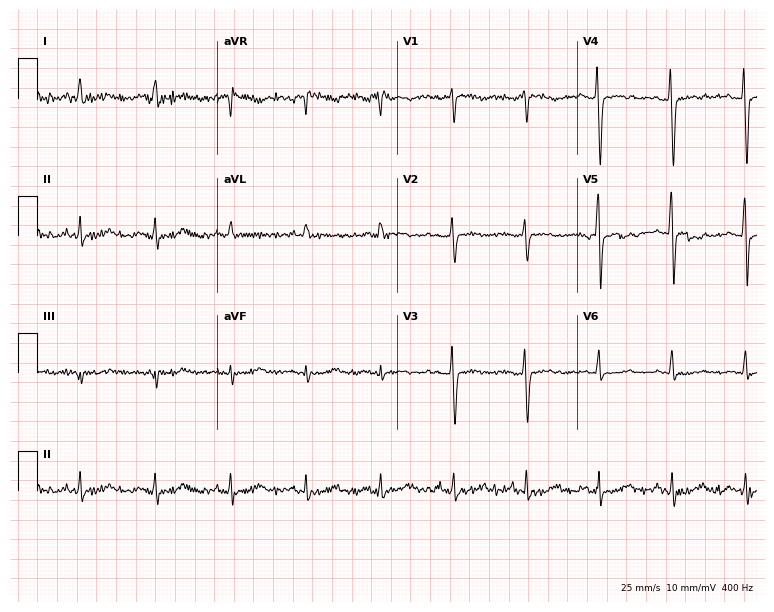
12-lead ECG from a 48-year-old female. No first-degree AV block, right bundle branch block, left bundle branch block, sinus bradycardia, atrial fibrillation or sinus tachycardia recorded for this tracing.